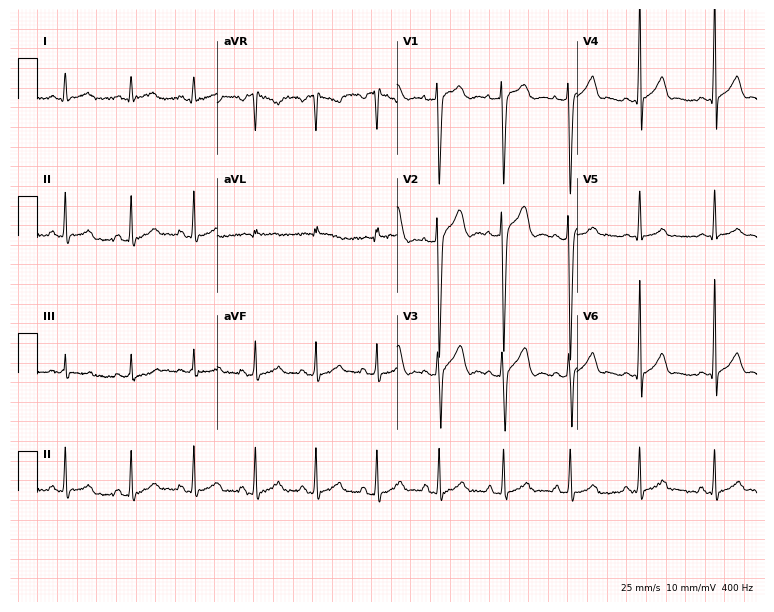
Resting 12-lead electrocardiogram. Patient: a man, 19 years old. None of these six findings is recorded: first-degree AV block, right bundle branch block (RBBB), left bundle branch block (LBBB), sinus bradycardia, atrial fibrillation (AF), sinus tachycardia.